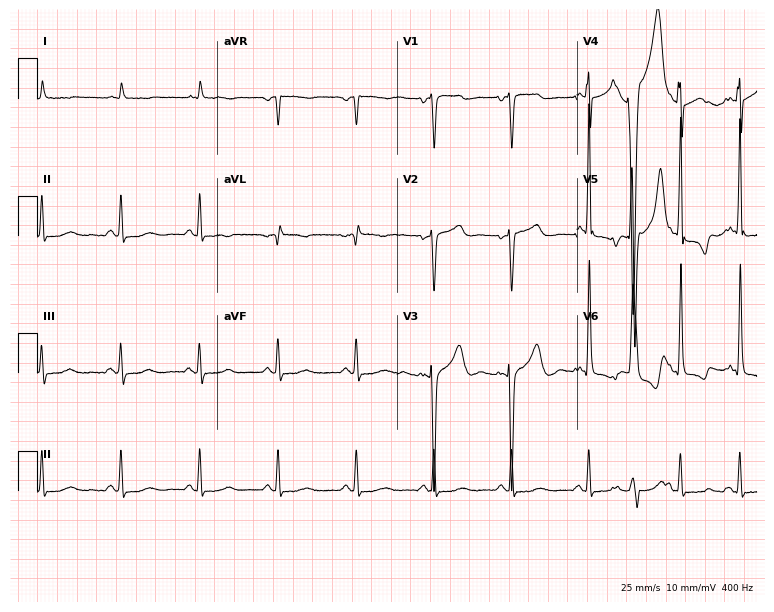
Standard 12-lead ECG recorded from a male patient, 78 years old (7.3-second recording at 400 Hz). None of these six findings is recorded: first-degree AV block, right bundle branch block (RBBB), left bundle branch block (LBBB), sinus bradycardia, atrial fibrillation (AF), sinus tachycardia.